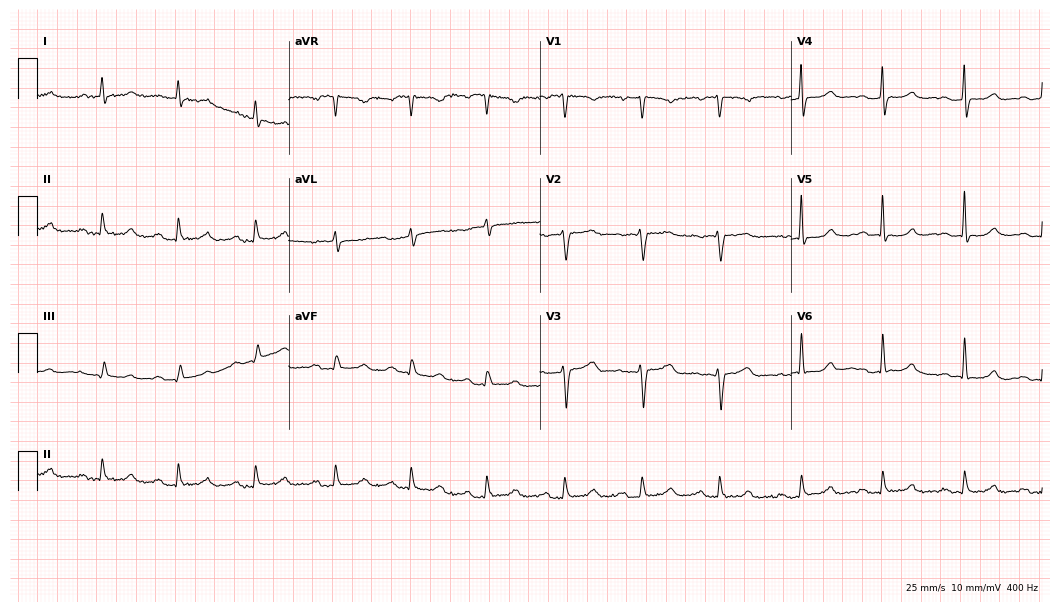
12-lead ECG (10.2-second recording at 400 Hz) from a female, 51 years old. Labelled as a normal ECG.